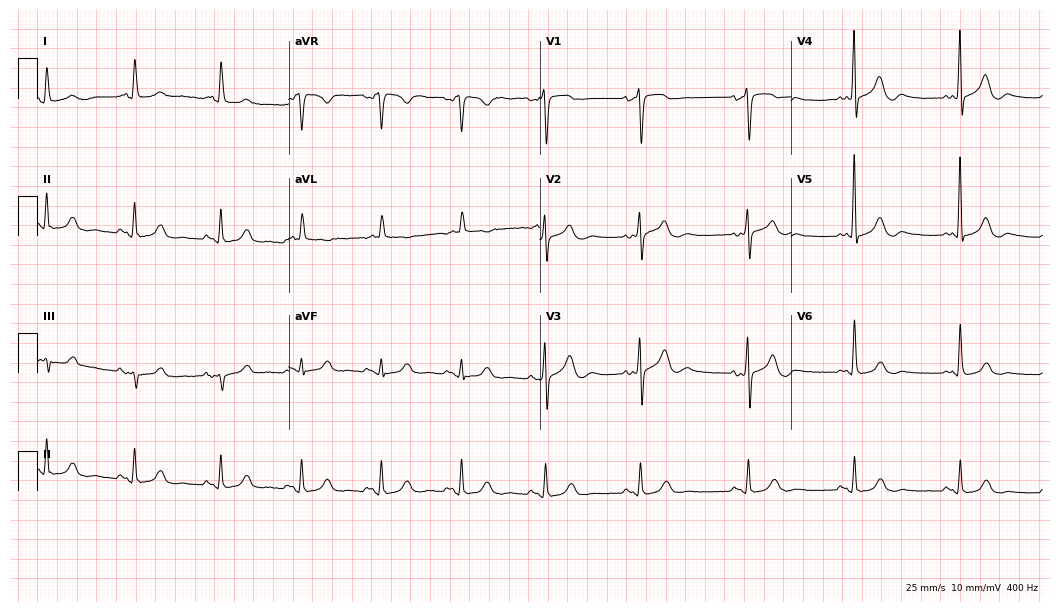
Electrocardiogram (10.2-second recording at 400 Hz), a female patient, 82 years old. Of the six screened findings (first-degree AV block, right bundle branch block, left bundle branch block, sinus bradycardia, atrial fibrillation, sinus tachycardia), none is recorded.